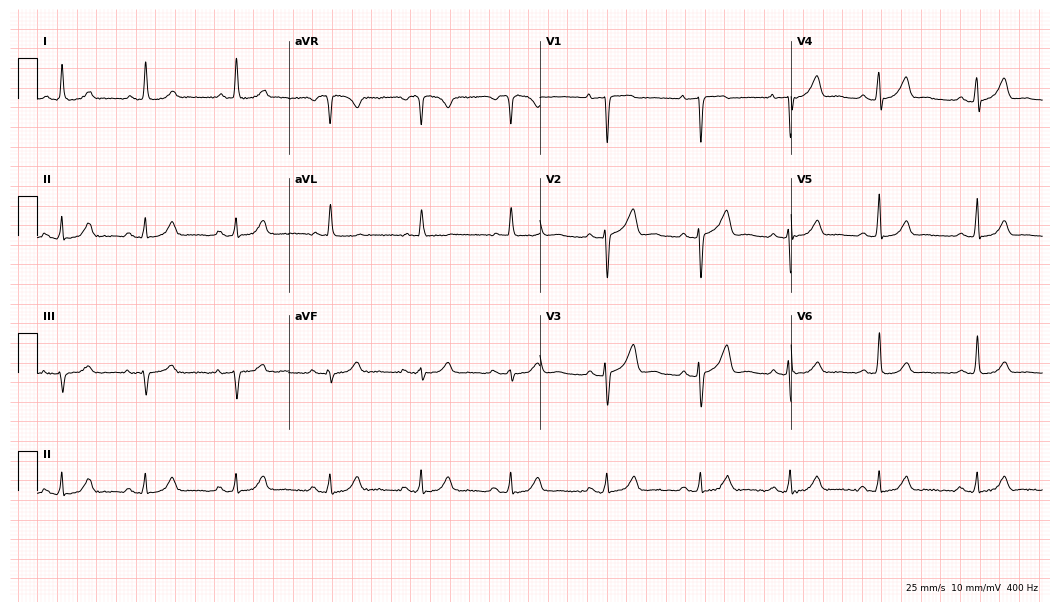
ECG — a 55-year-old female. Labelled as a normal ECG.